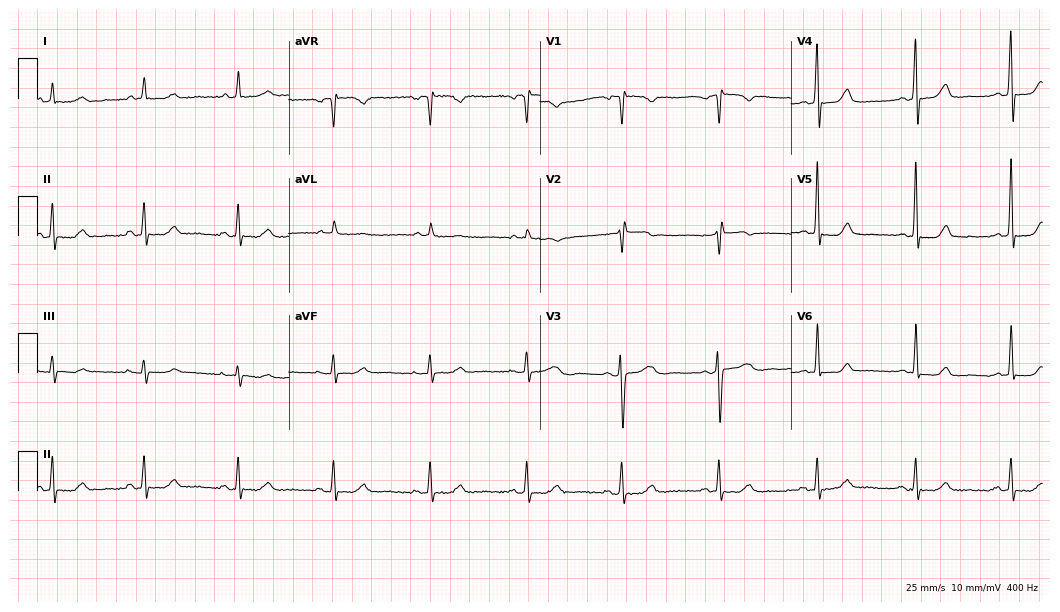
ECG (10.2-second recording at 400 Hz) — a 49-year-old woman. Labelled as a normal ECG.